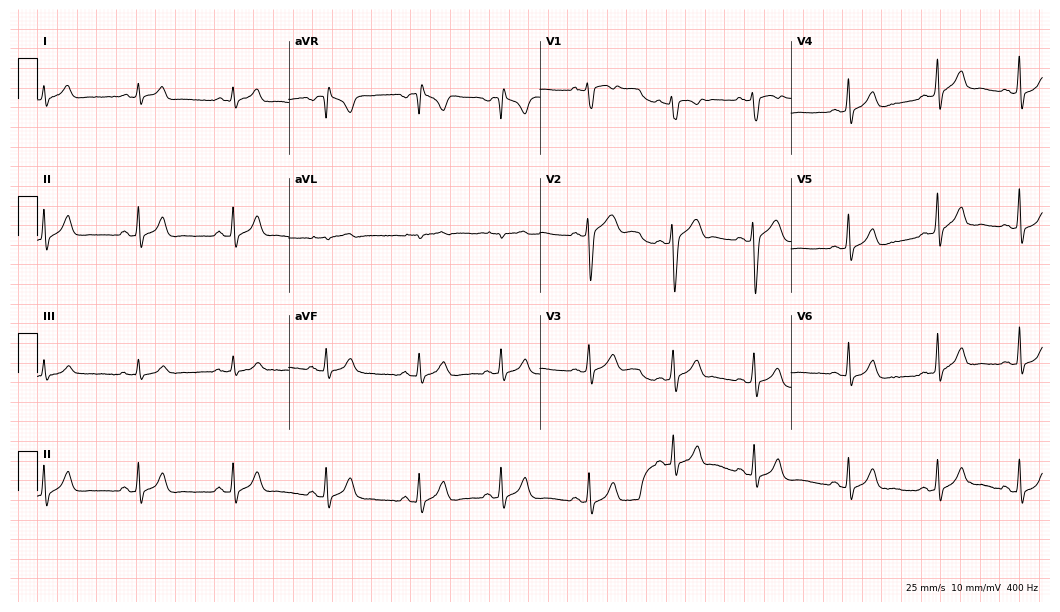
12-lead ECG from a male patient, 21 years old. Recorded interpretation: within normal limits.